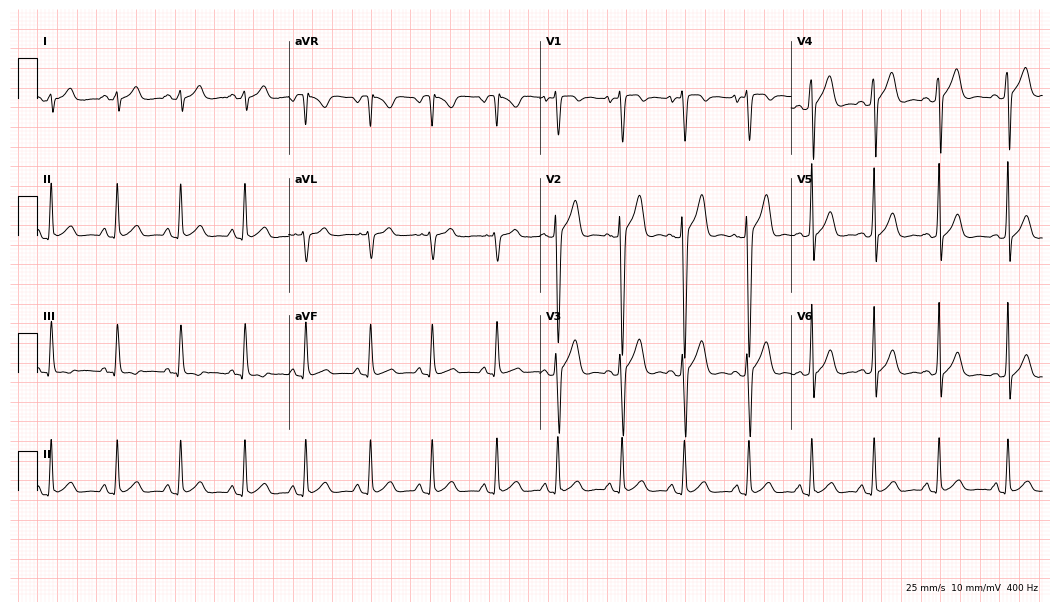
Resting 12-lead electrocardiogram (10.2-second recording at 400 Hz). Patient: a 20-year-old man. Read as a normal ECG.